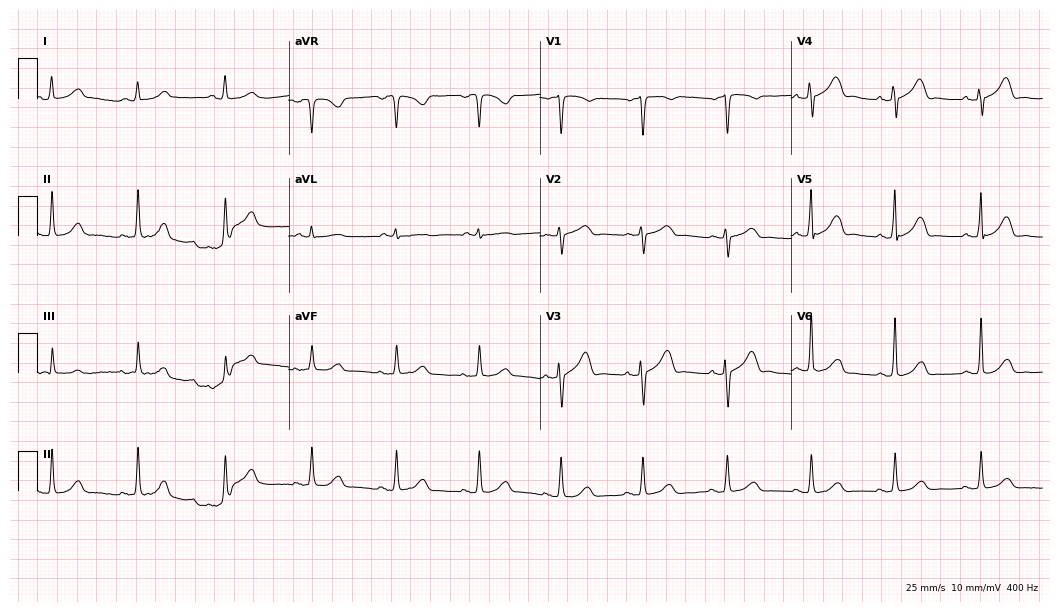
Electrocardiogram, a female patient, 82 years old. Overall reading on record: normal ECG.